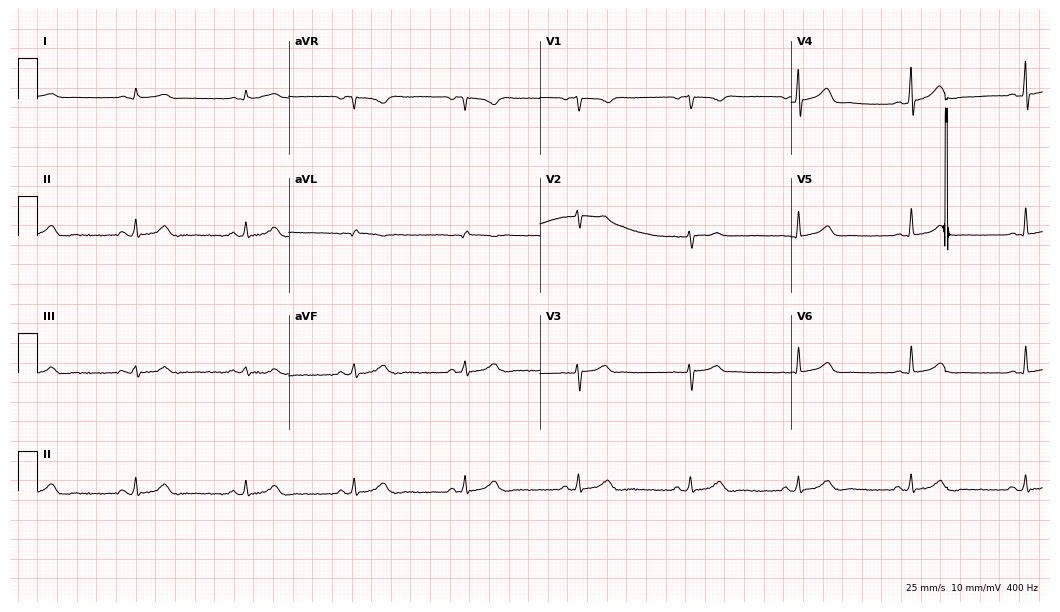
ECG — a man, 47 years old. Screened for six findings — first-degree AV block, right bundle branch block, left bundle branch block, sinus bradycardia, atrial fibrillation, sinus tachycardia — none is recorded. Findings outside these six are not listed.